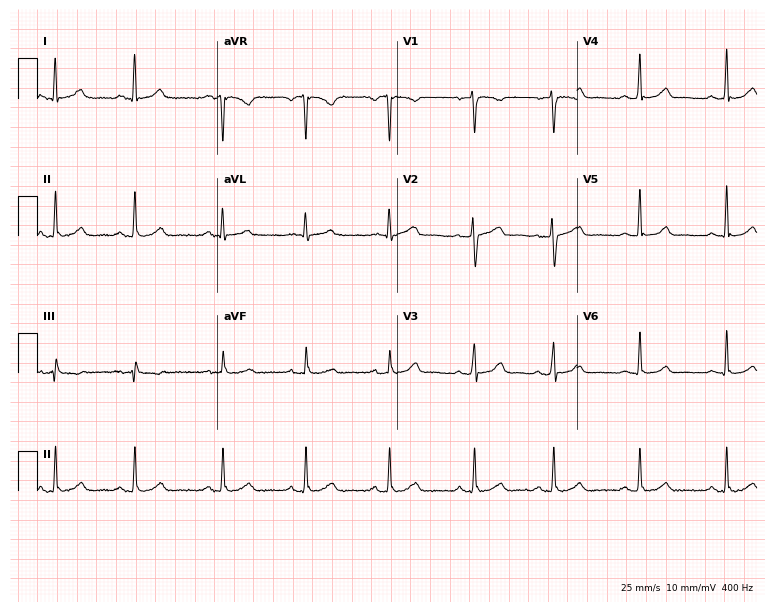
12-lead ECG from a woman, 35 years old. No first-degree AV block, right bundle branch block (RBBB), left bundle branch block (LBBB), sinus bradycardia, atrial fibrillation (AF) or sinus tachycardia recorded for this tracing. Only these six findings were labelled.